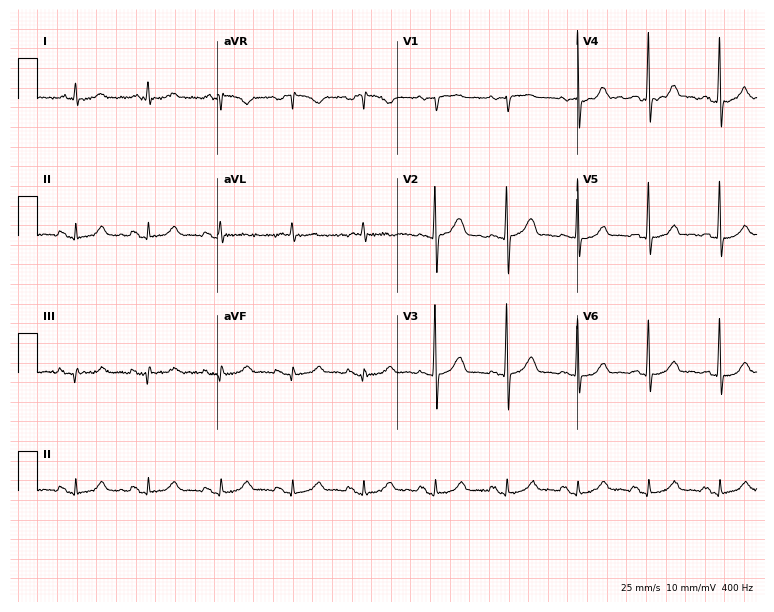
Standard 12-lead ECG recorded from a male patient, 69 years old (7.3-second recording at 400 Hz). Read as a normal ECG.